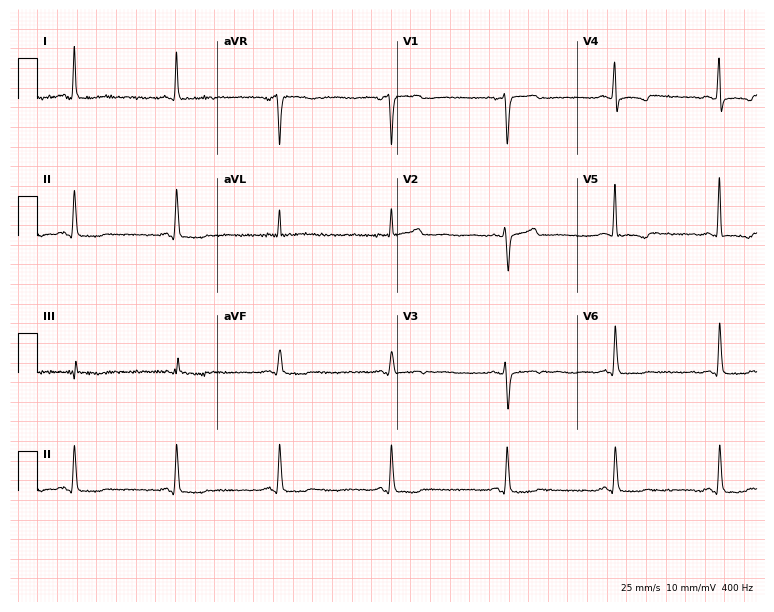
ECG — a female, 65 years old. Screened for six findings — first-degree AV block, right bundle branch block (RBBB), left bundle branch block (LBBB), sinus bradycardia, atrial fibrillation (AF), sinus tachycardia — none is recorded. Only these six findings were labelled.